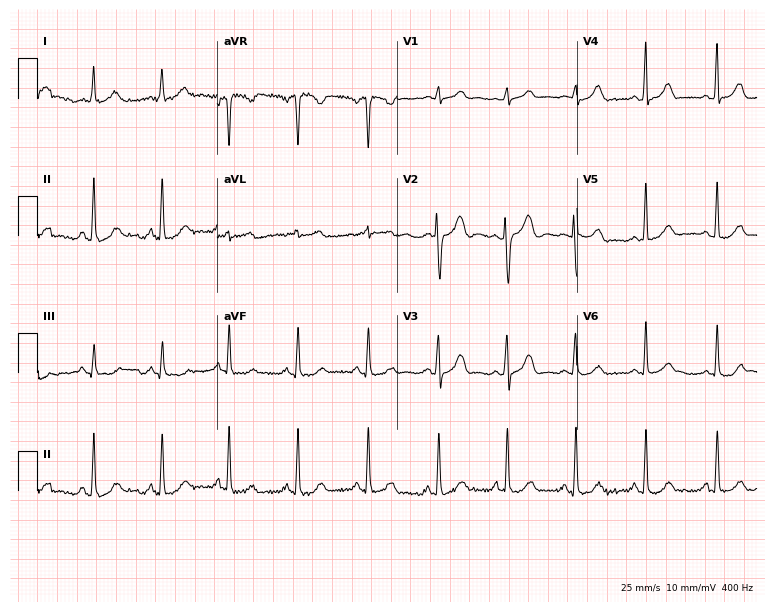
Resting 12-lead electrocardiogram (7.3-second recording at 400 Hz). Patient: a 33-year-old female. None of these six findings is recorded: first-degree AV block, right bundle branch block, left bundle branch block, sinus bradycardia, atrial fibrillation, sinus tachycardia.